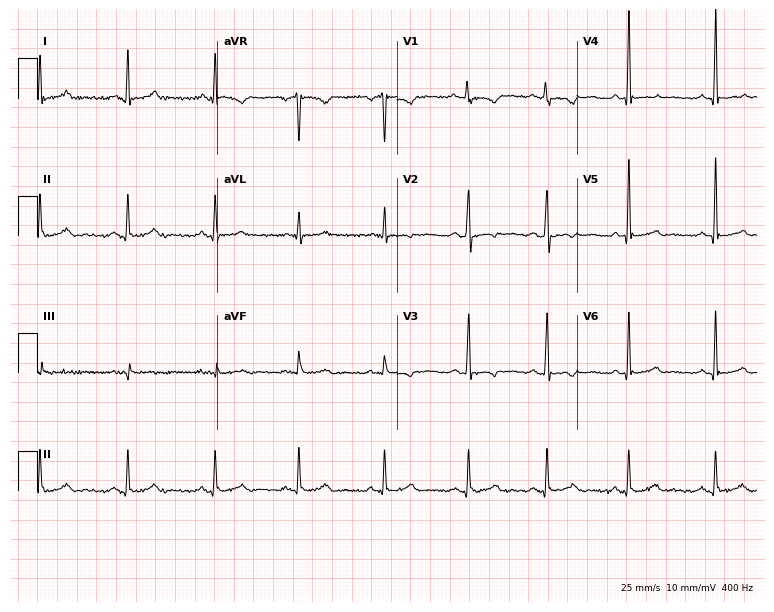
12-lead ECG from a 46-year-old female patient. No first-degree AV block, right bundle branch block (RBBB), left bundle branch block (LBBB), sinus bradycardia, atrial fibrillation (AF) or sinus tachycardia recorded for this tracing. Other findings, if any, are not listed.